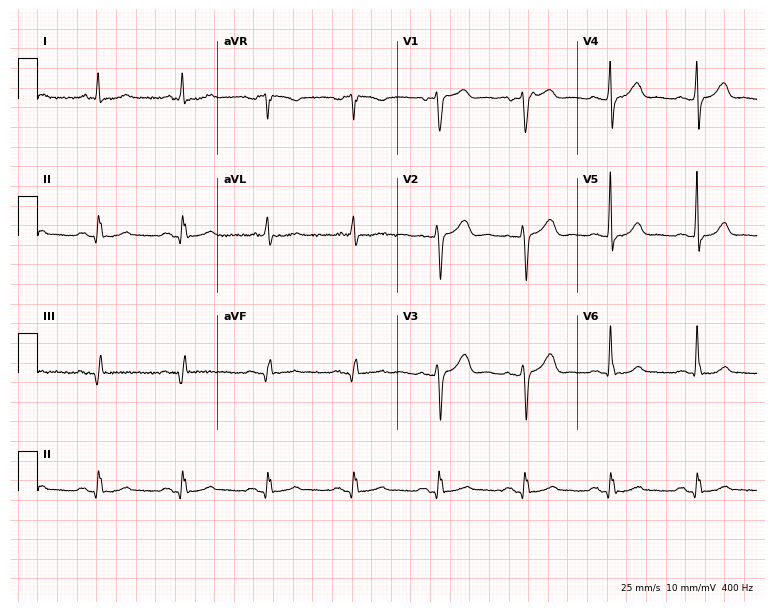
Electrocardiogram (7.3-second recording at 400 Hz), a 68-year-old male patient. Of the six screened findings (first-degree AV block, right bundle branch block (RBBB), left bundle branch block (LBBB), sinus bradycardia, atrial fibrillation (AF), sinus tachycardia), none is recorded.